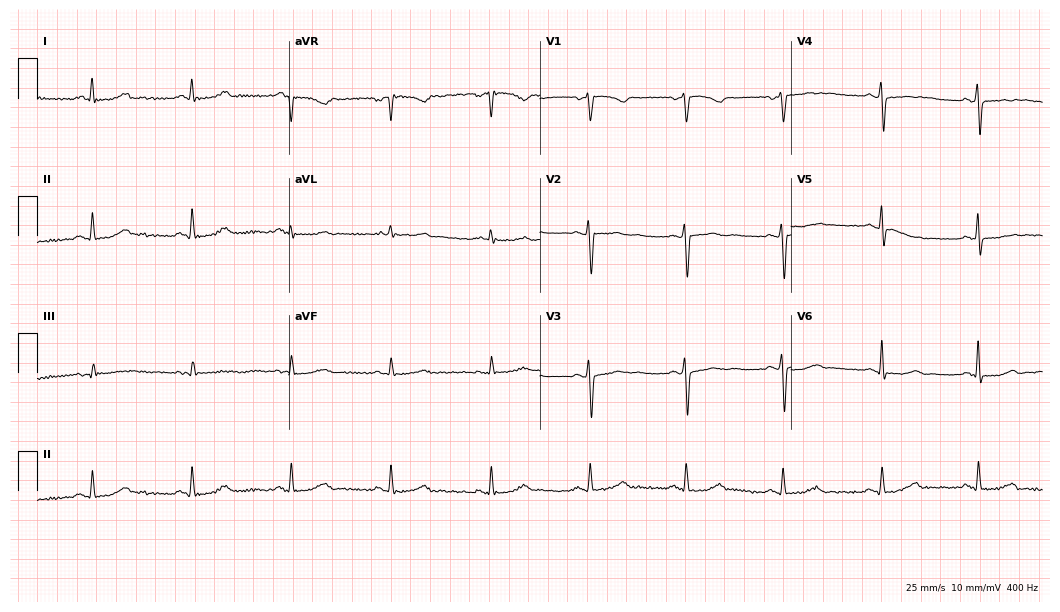
ECG (10.2-second recording at 400 Hz) — a female, 55 years old. Labelled as a normal ECG.